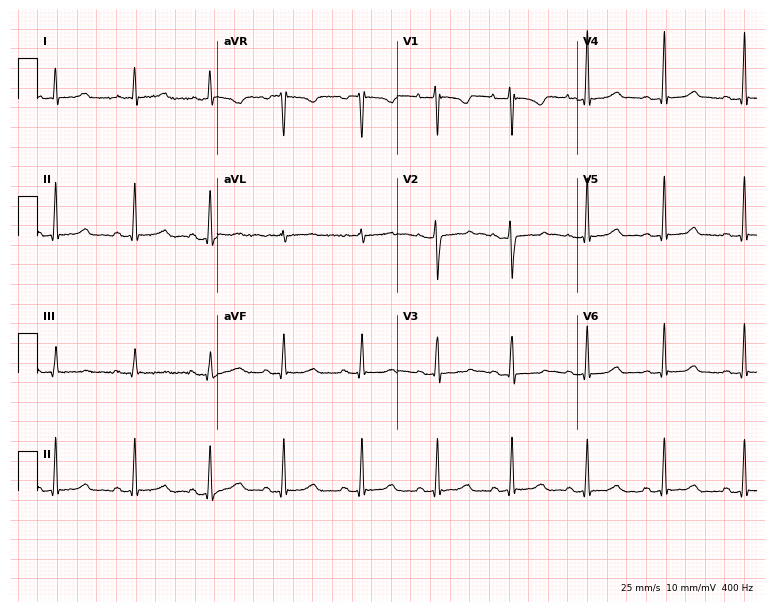
ECG (7.3-second recording at 400 Hz) — a female, 33 years old. Labelled as a normal ECG.